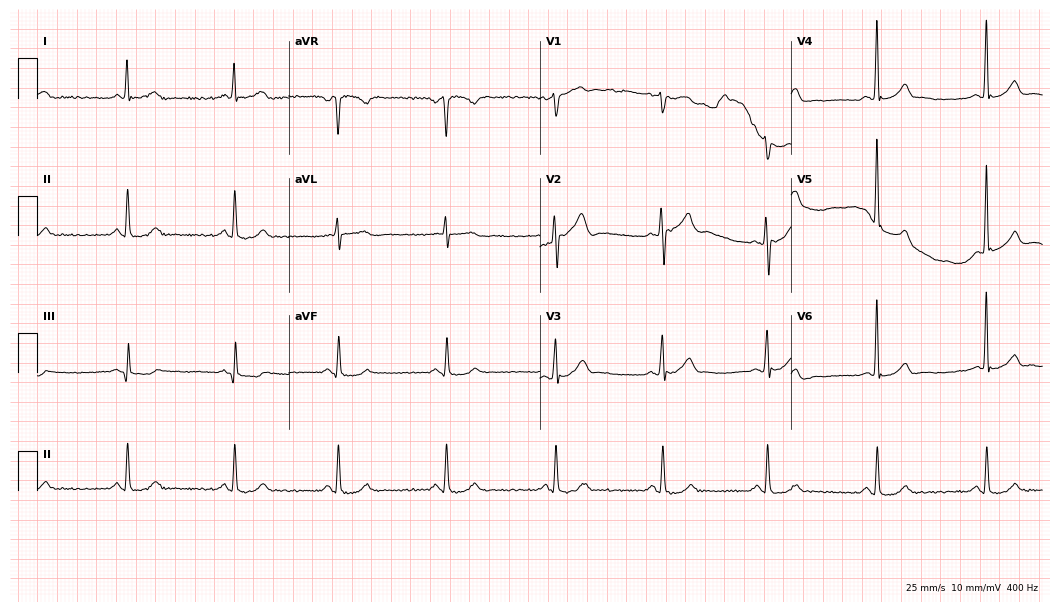
12-lead ECG from a 49-year-old male patient. Recorded interpretation: within normal limits.